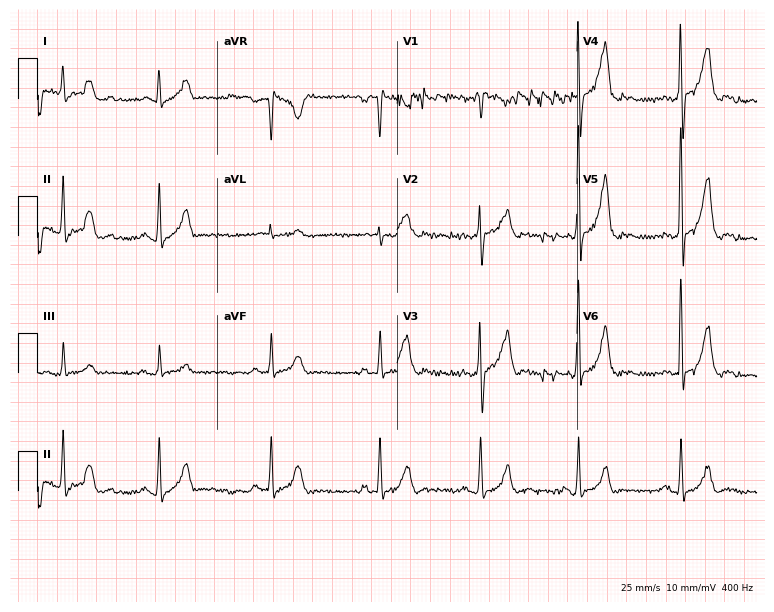
12-lead ECG from a male, 58 years old. Recorded interpretation: within normal limits.